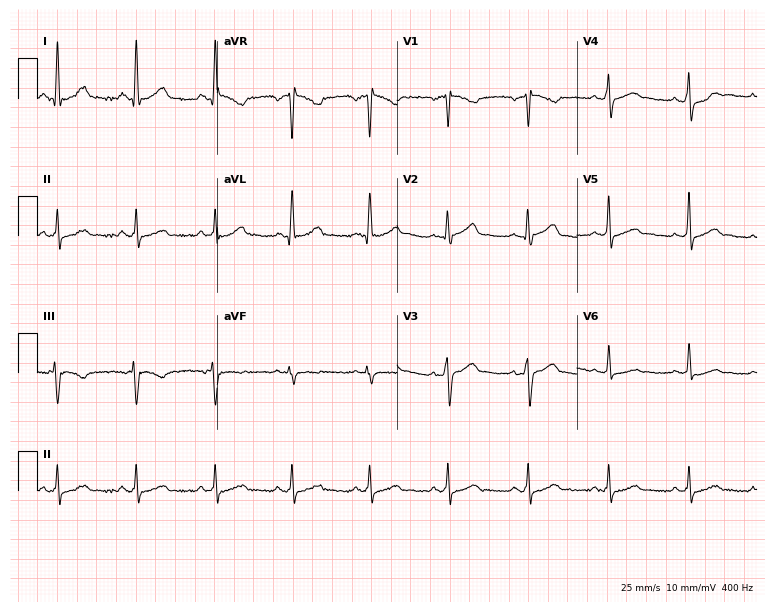
Standard 12-lead ECG recorded from a man, 37 years old. Read as a normal ECG.